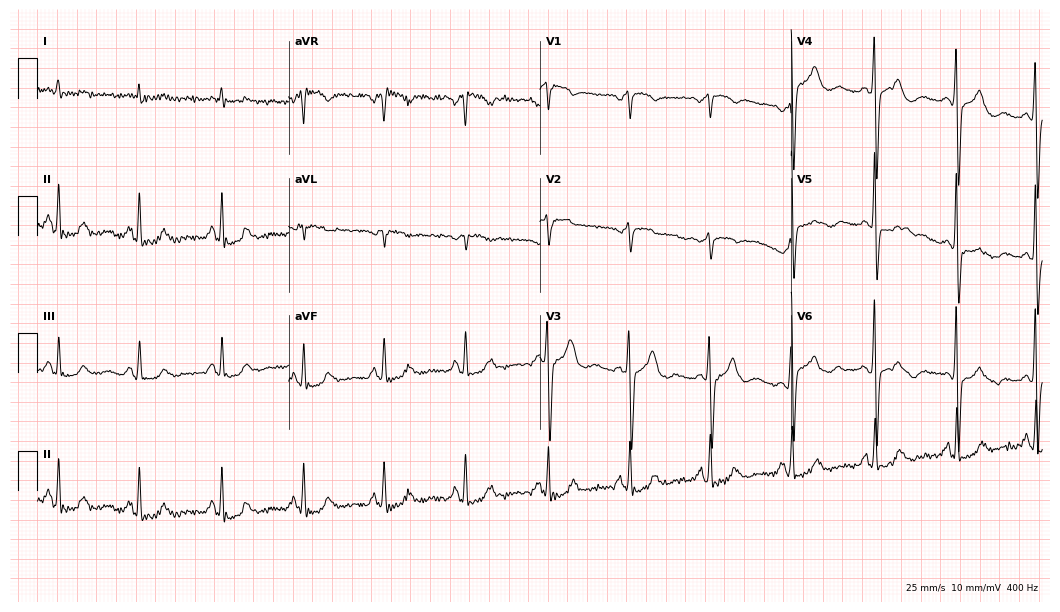
12-lead ECG from a man, 54 years old. No first-degree AV block, right bundle branch block, left bundle branch block, sinus bradycardia, atrial fibrillation or sinus tachycardia recorded for this tracing. Findings outside these six are not listed.